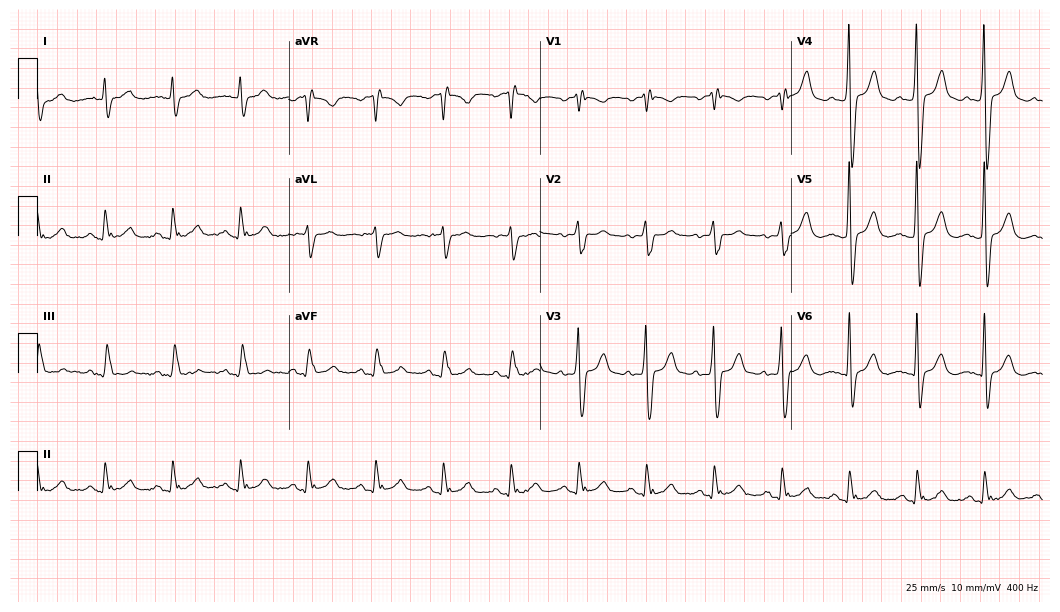
12-lead ECG from a 73-year-old man (10.2-second recording at 400 Hz). No first-degree AV block, right bundle branch block, left bundle branch block, sinus bradycardia, atrial fibrillation or sinus tachycardia recorded for this tracing.